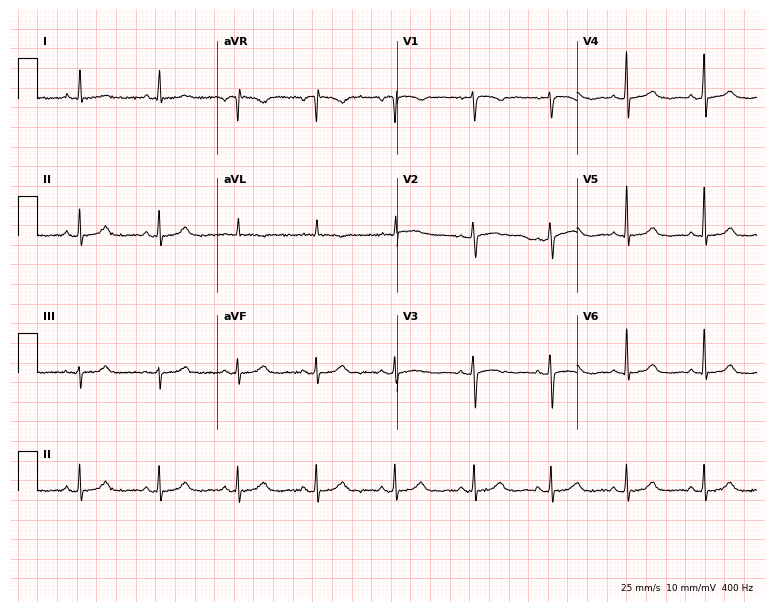
Resting 12-lead electrocardiogram (7.3-second recording at 400 Hz). Patient: a 58-year-old woman. None of these six findings is recorded: first-degree AV block, right bundle branch block, left bundle branch block, sinus bradycardia, atrial fibrillation, sinus tachycardia.